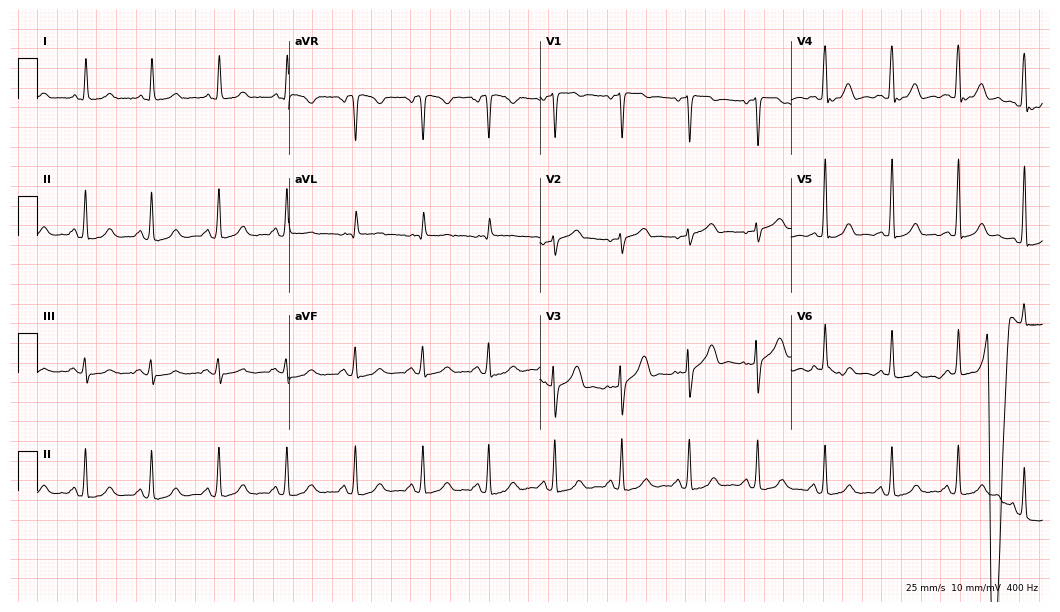
Electrocardiogram, a woman, 74 years old. Overall reading on record: normal ECG.